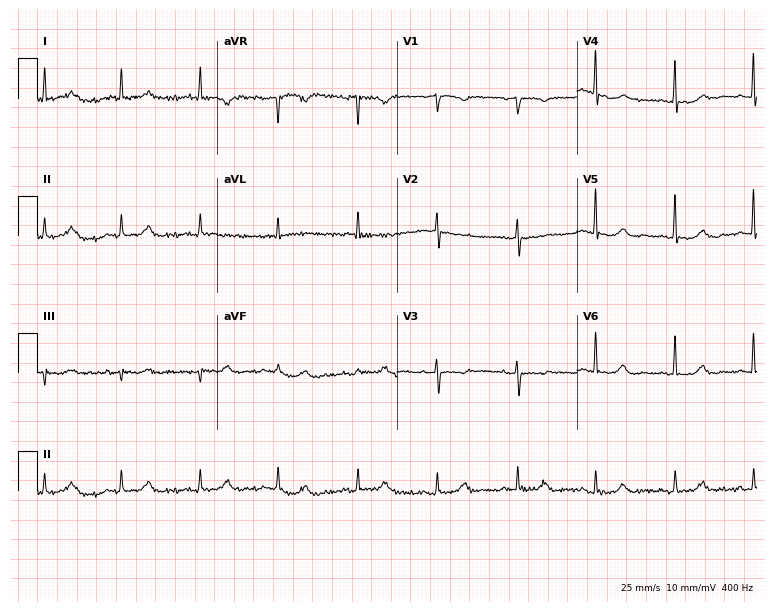
Resting 12-lead electrocardiogram (7.3-second recording at 400 Hz). Patient: an 84-year-old female. Read as a normal ECG.